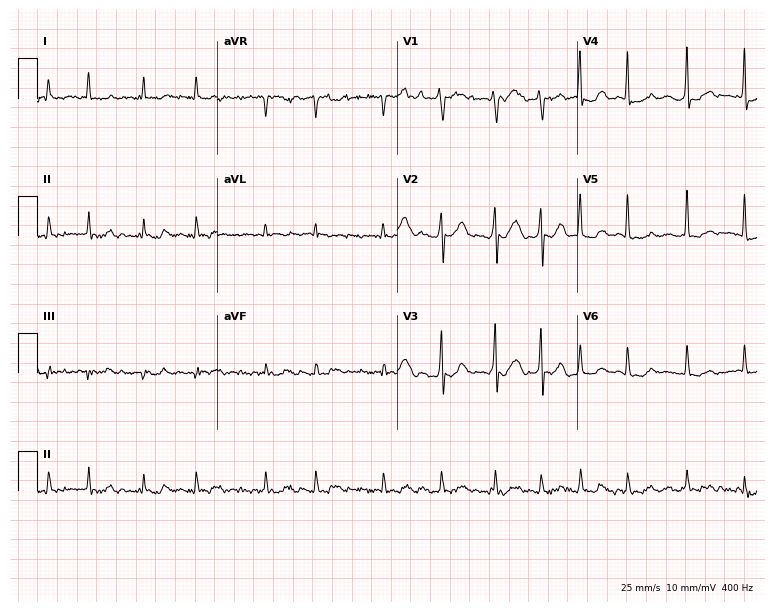
Electrocardiogram, a 69-year-old male. Interpretation includes atrial fibrillation.